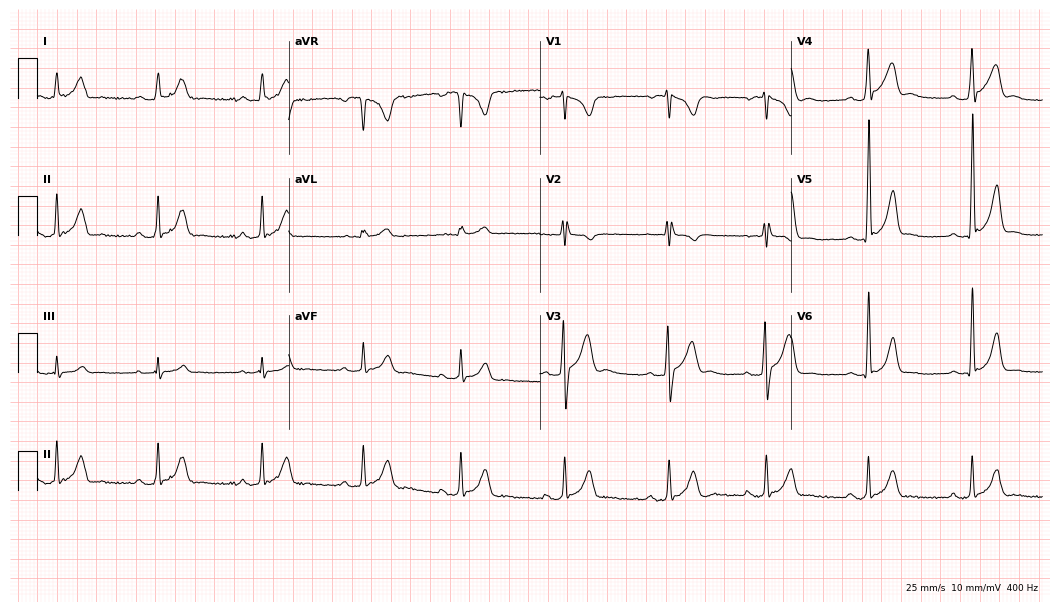
ECG (10.2-second recording at 400 Hz) — a 26-year-old male patient. Labelled as a normal ECG.